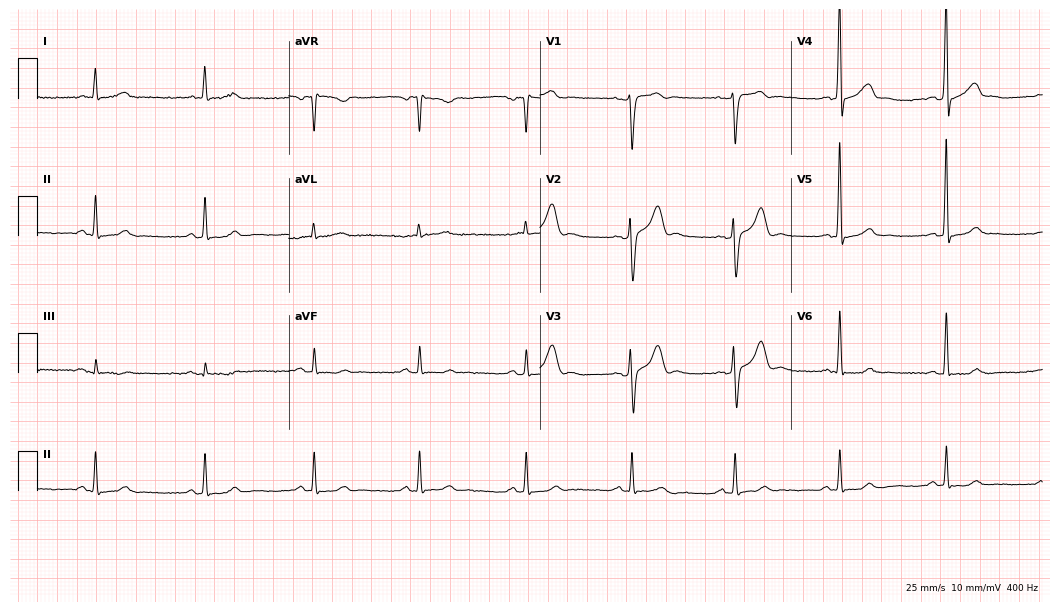
Standard 12-lead ECG recorded from a 50-year-old man (10.2-second recording at 400 Hz). None of these six findings is recorded: first-degree AV block, right bundle branch block, left bundle branch block, sinus bradycardia, atrial fibrillation, sinus tachycardia. Other findings, if any, are not listed.